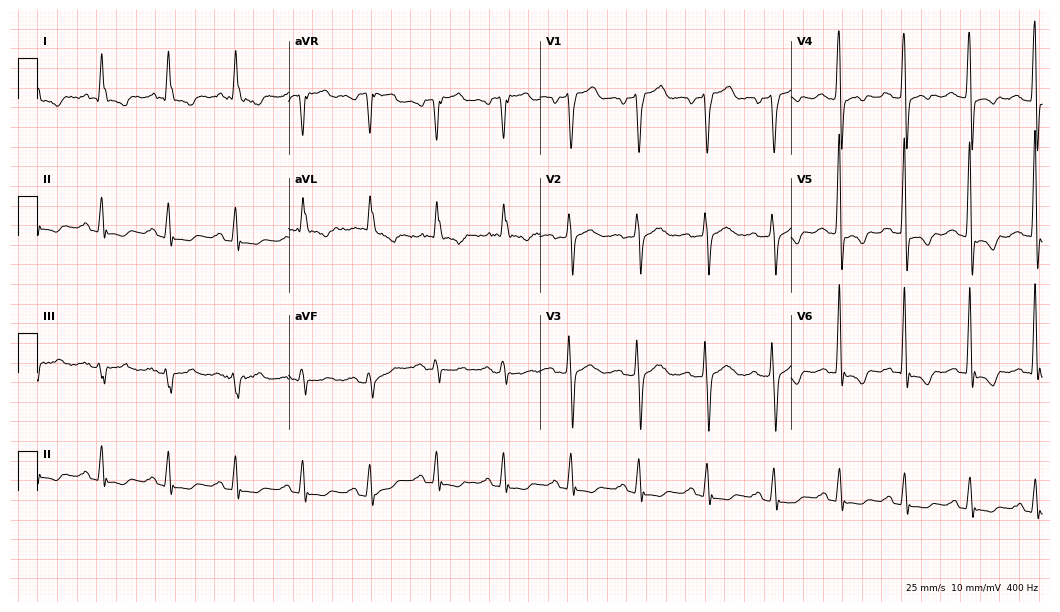
ECG — a 70-year-old male patient. Screened for six findings — first-degree AV block, right bundle branch block (RBBB), left bundle branch block (LBBB), sinus bradycardia, atrial fibrillation (AF), sinus tachycardia — none is recorded. Other findings, if any, are not listed.